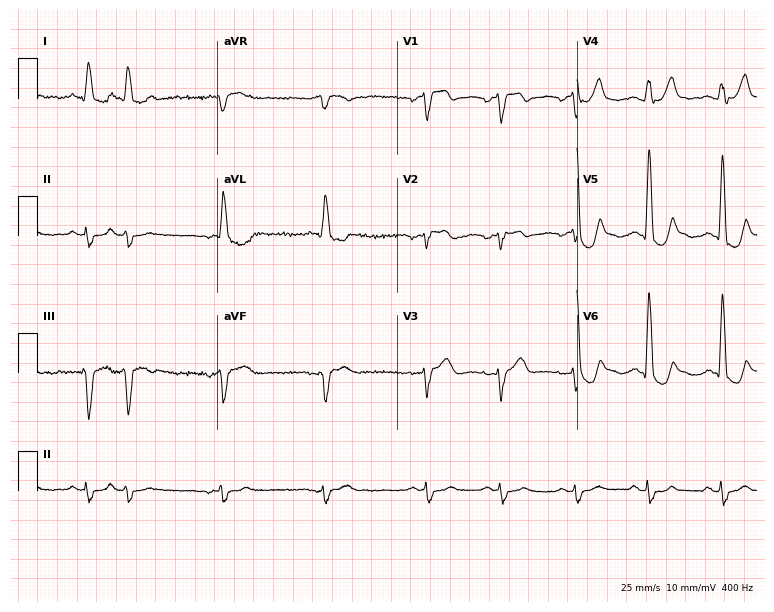
Standard 12-lead ECG recorded from an 83-year-old male (7.3-second recording at 400 Hz). None of these six findings is recorded: first-degree AV block, right bundle branch block (RBBB), left bundle branch block (LBBB), sinus bradycardia, atrial fibrillation (AF), sinus tachycardia.